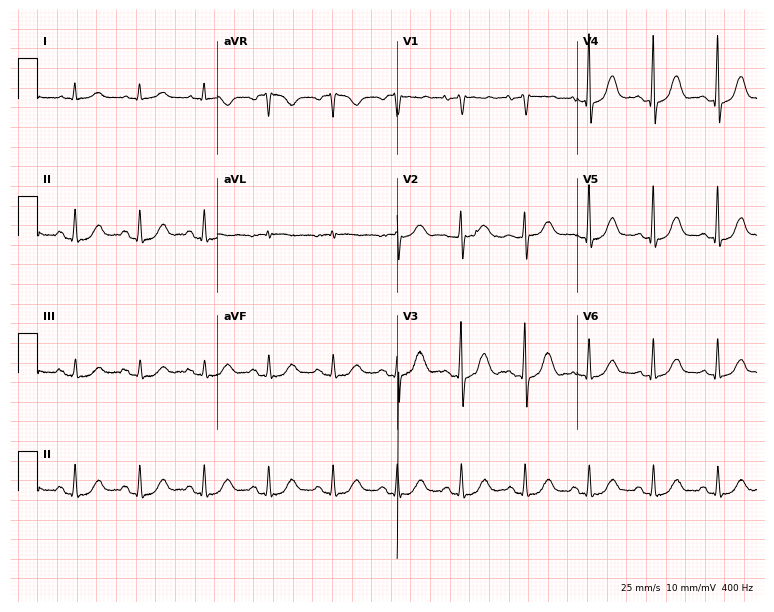
12-lead ECG from a male, 56 years old. Labelled as a normal ECG.